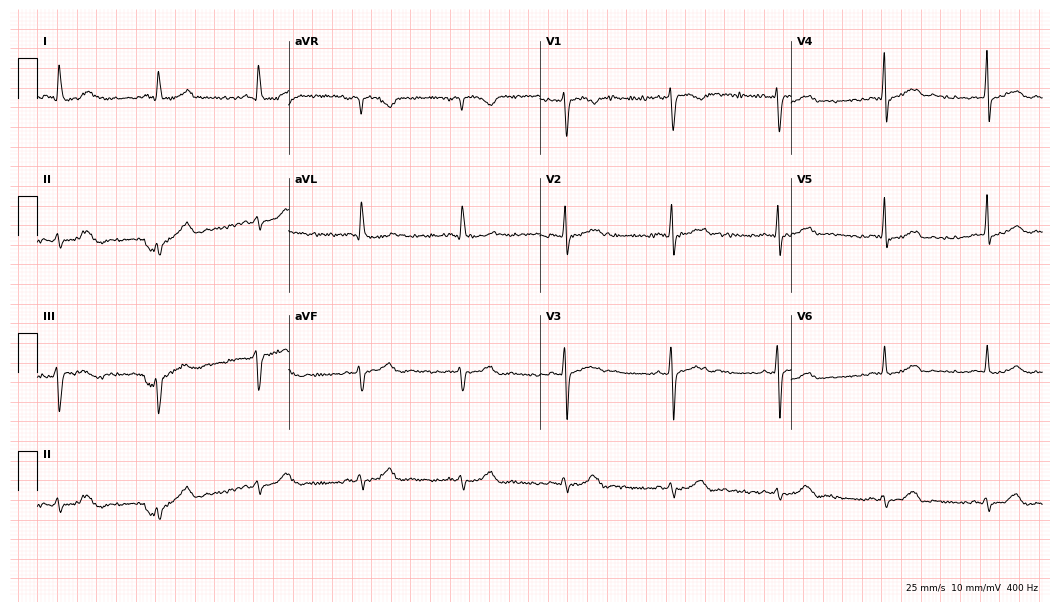
Resting 12-lead electrocardiogram (10.2-second recording at 400 Hz). Patient: a female, 64 years old. None of these six findings is recorded: first-degree AV block, right bundle branch block, left bundle branch block, sinus bradycardia, atrial fibrillation, sinus tachycardia.